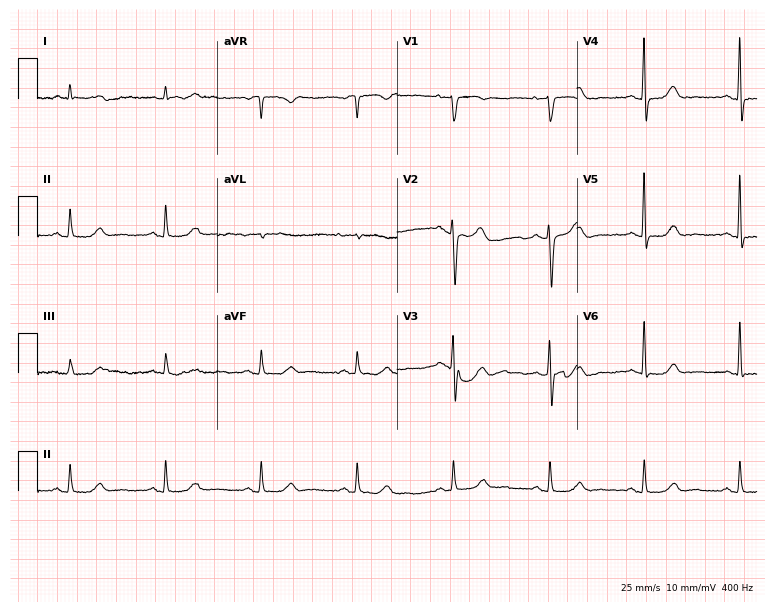
12-lead ECG from a 77-year-old woman. Labelled as a normal ECG.